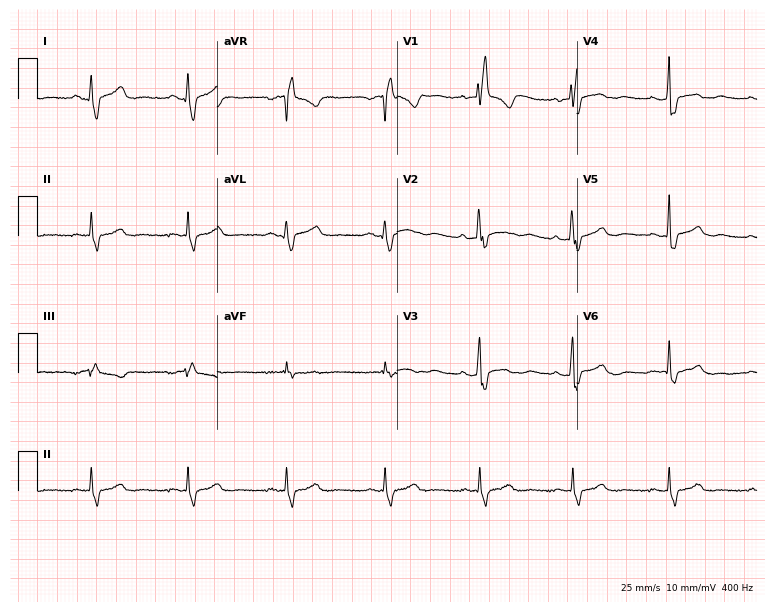
Resting 12-lead electrocardiogram (7.3-second recording at 400 Hz). Patient: a female, 48 years old. The tracing shows right bundle branch block.